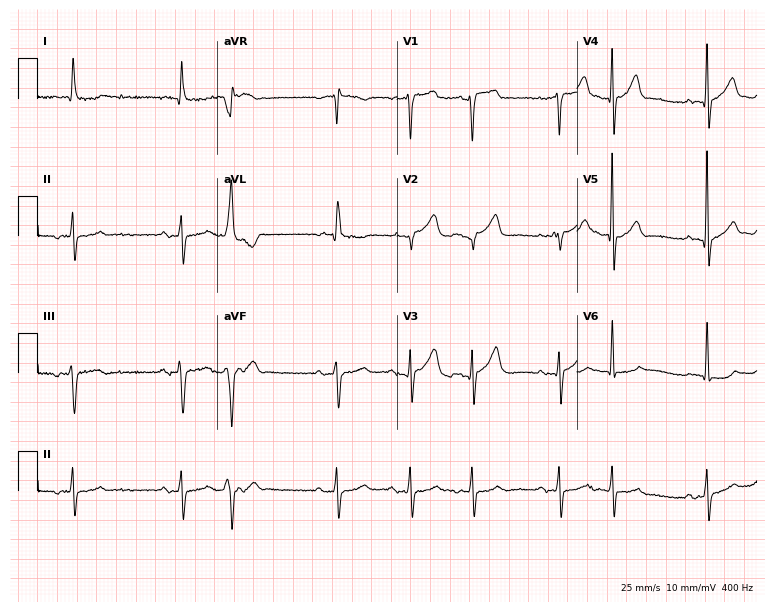
Standard 12-lead ECG recorded from a 79-year-old man (7.3-second recording at 400 Hz). None of these six findings is recorded: first-degree AV block, right bundle branch block, left bundle branch block, sinus bradycardia, atrial fibrillation, sinus tachycardia. Findings outside these six are not listed.